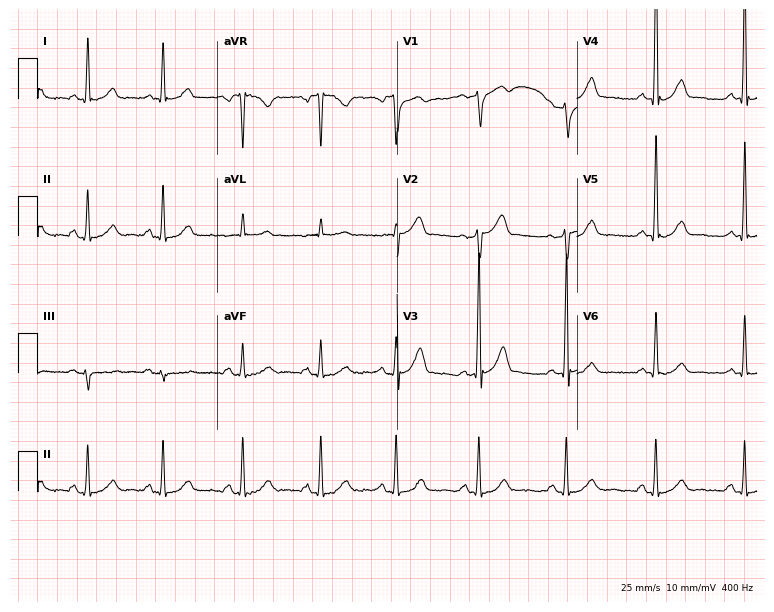
12-lead ECG (7.3-second recording at 400 Hz) from a 61-year-old male. Labelled as a normal ECG.